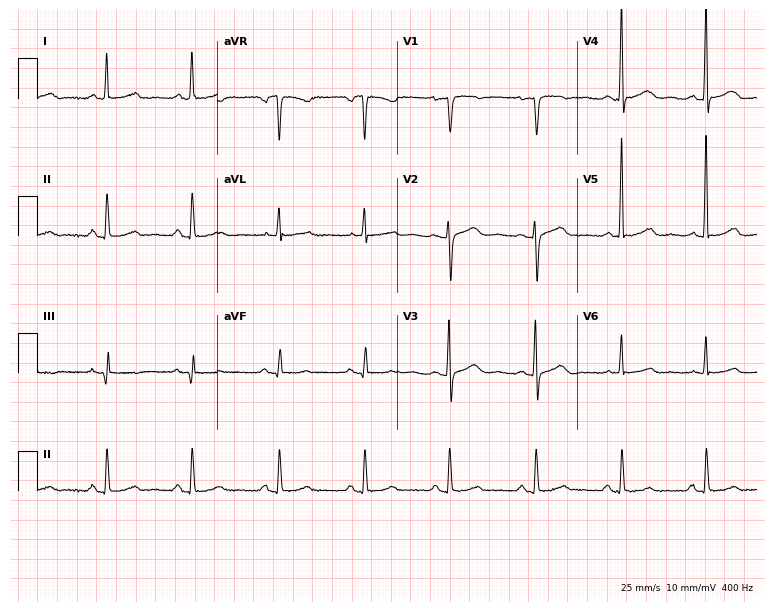
Electrocardiogram (7.3-second recording at 400 Hz), a 59-year-old female patient. Of the six screened findings (first-degree AV block, right bundle branch block (RBBB), left bundle branch block (LBBB), sinus bradycardia, atrial fibrillation (AF), sinus tachycardia), none is recorded.